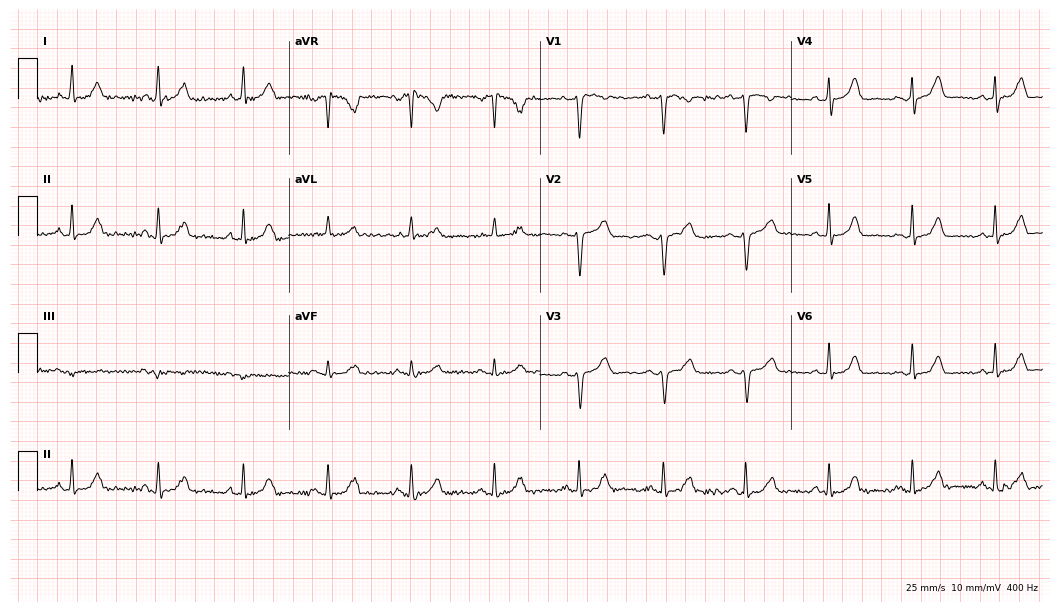
Standard 12-lead ECG recorded from a female patient, 46 years old (10.2-second recording at 400 Hz). Read as a normal ECG.